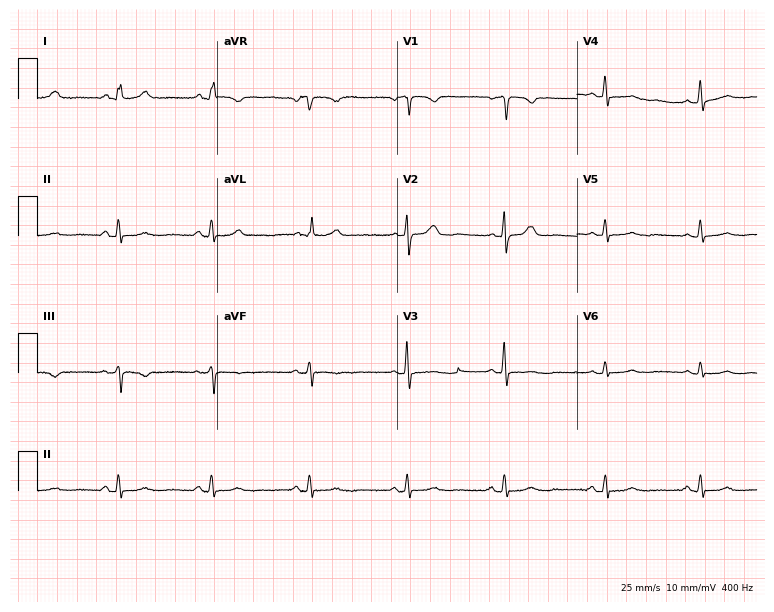
Resting 12-lead electrocardiogram. Patient: a female, 58 years old. None of these six findings is recorded: first-degree AV block, right bundle branch block, left bundle branch block, sinus bradycardia, atrial fibrillation, sinus tachycardia.